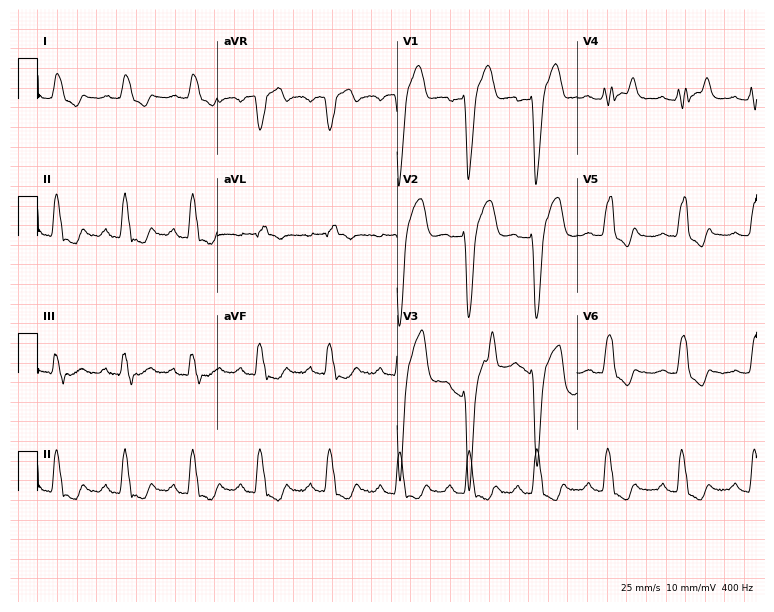
Resting 12-lead electrocardiogram (7.3-second recording at 400 Hz). Patient: a 43-year-old male. The tracing shows left bundle branch block.